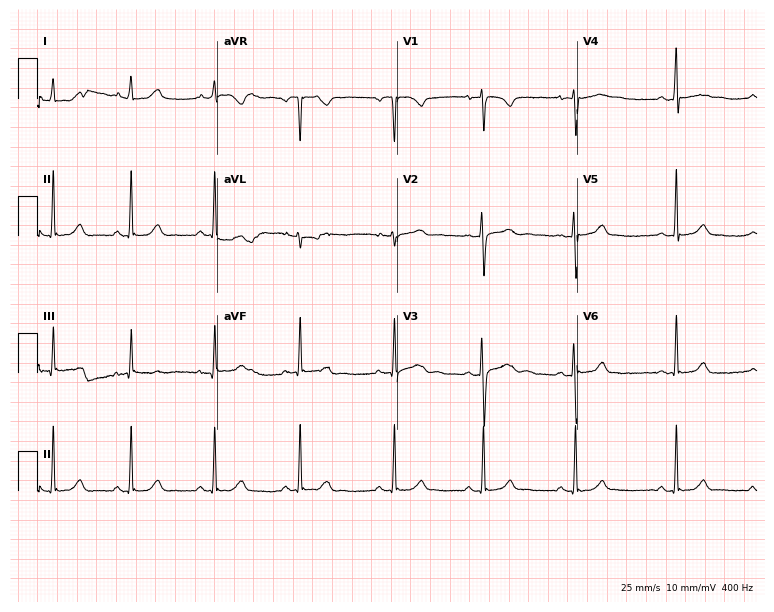
Standard 12-lead ECG recorded from a 17-year-old female. Read as a normal ECG.